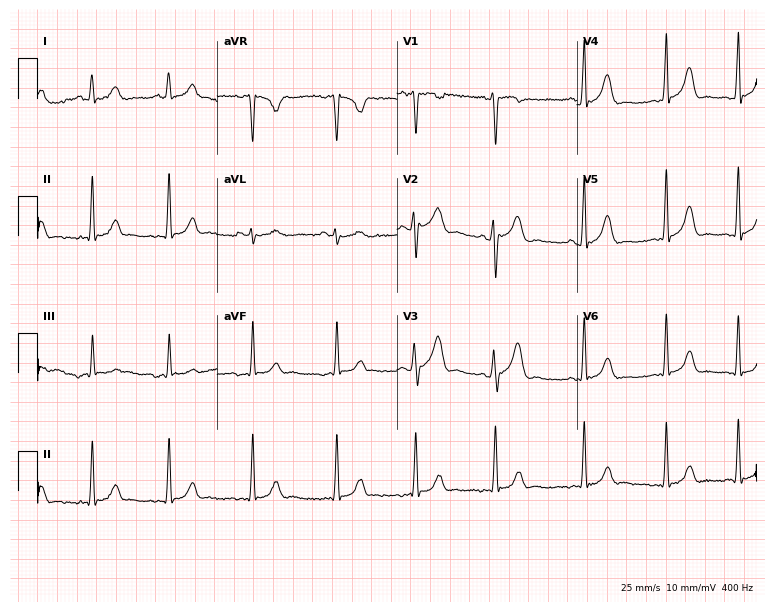
12-lead ECG (7.3-second recording at 400 Hz) from a woman, 21 years old. Screened for six findings — first-degree AV block, right bundle branch block, left bundle branch block, sinus bradycardia, atrial fibrillation, sinus tachycardia — none is recorded.